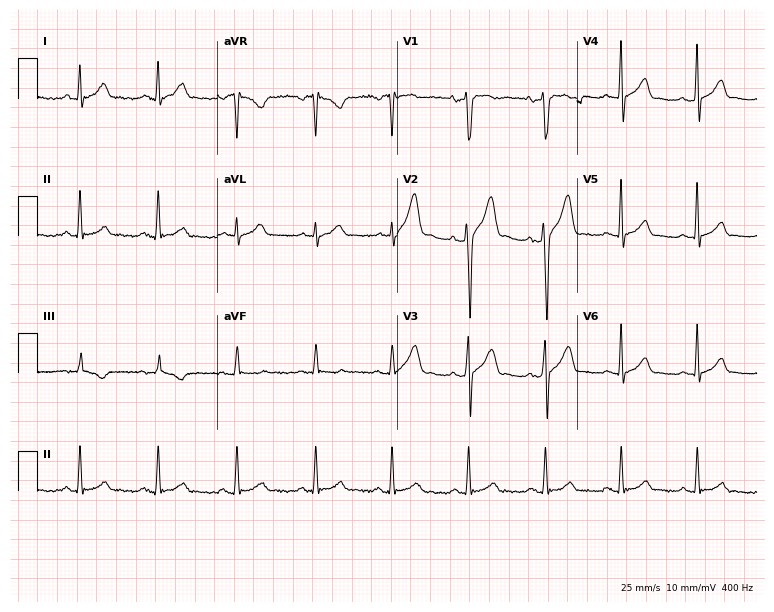
ECG (7.3-second recording at 400 Hz) — a male patient, 46 years old. Labelled as a normal ECG.